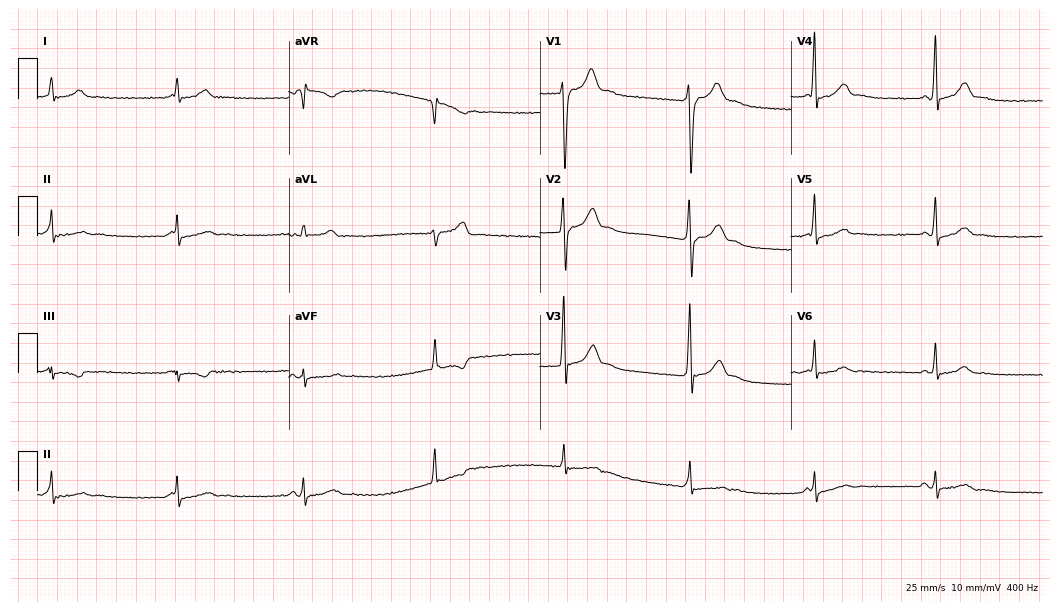
Standard 12-lead ECG recorded from a 27-year-old man. None of these six findings is recorded: first-degree AV block, right bundle branch block (RBBB), left bundle branch block (LBBB), sinus bradycardia, atrial fibrillation (AF), sinus tachycardia.